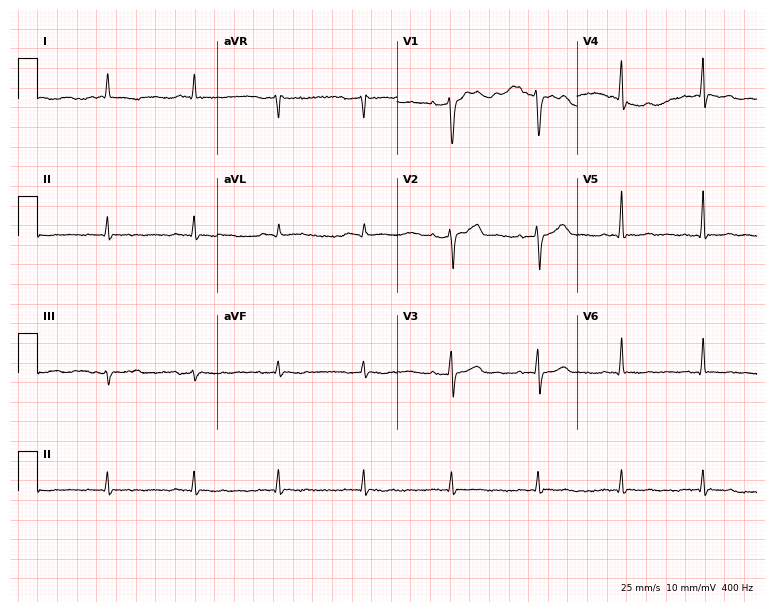
Electrocardiogram, a man, 62 years old. Of the six screened findings (first-degree AV block, right bundle branch block (RBBB), left bundle branch block (LBBB), sinus bradycardia, atrial fibrillation (AF), sinus tachycardia), none is recorded. Other findings, if any, are not listed.